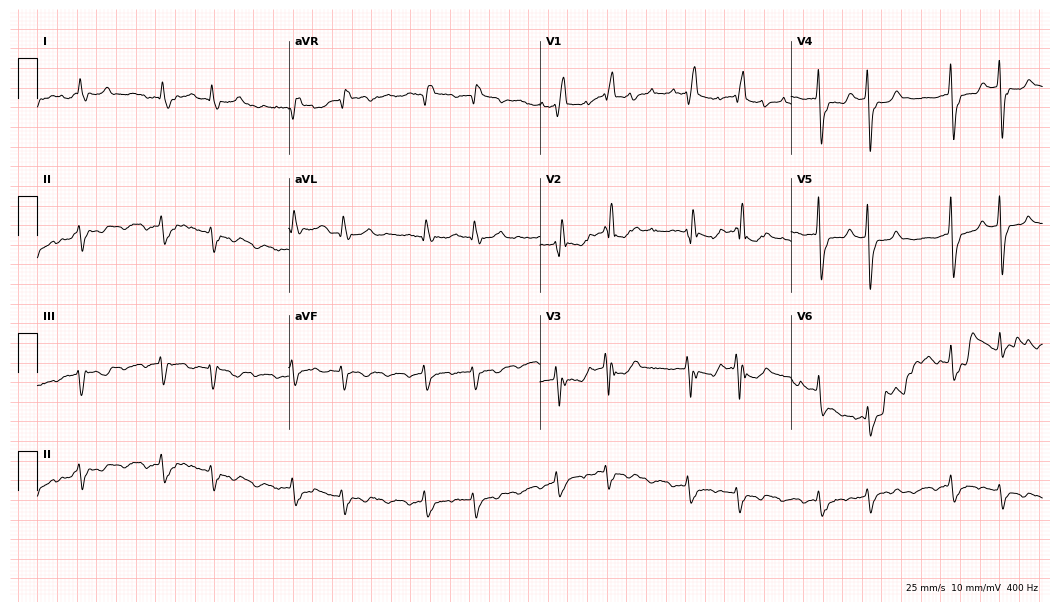
Electrocardiogram (10.2-second recording at 400 Hz), an 83-year-old man. Interpretation includes right bundle branch block, atrial fibrillation.